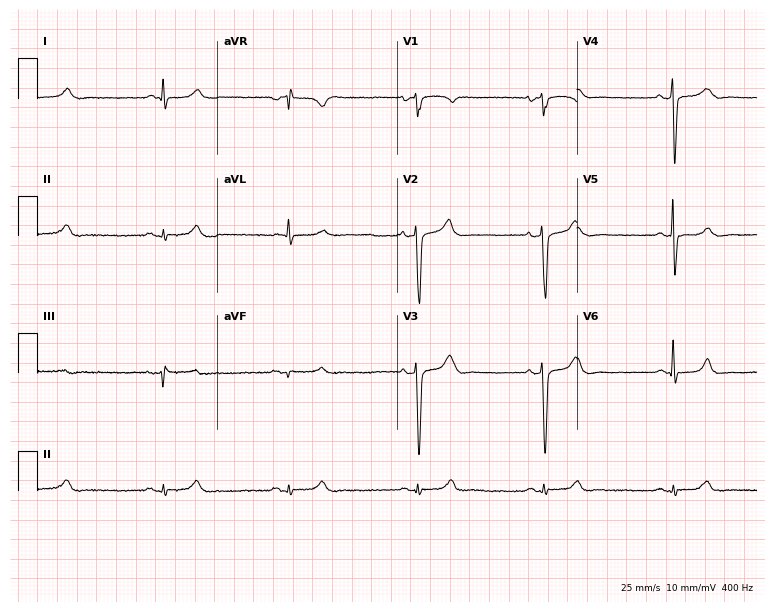
12-lead ECG (7.3-second recording at 400 Hz) from a man, 73 years old. Findings include sinus bradycardia (a sinus rate of 50 beats per minute or less).